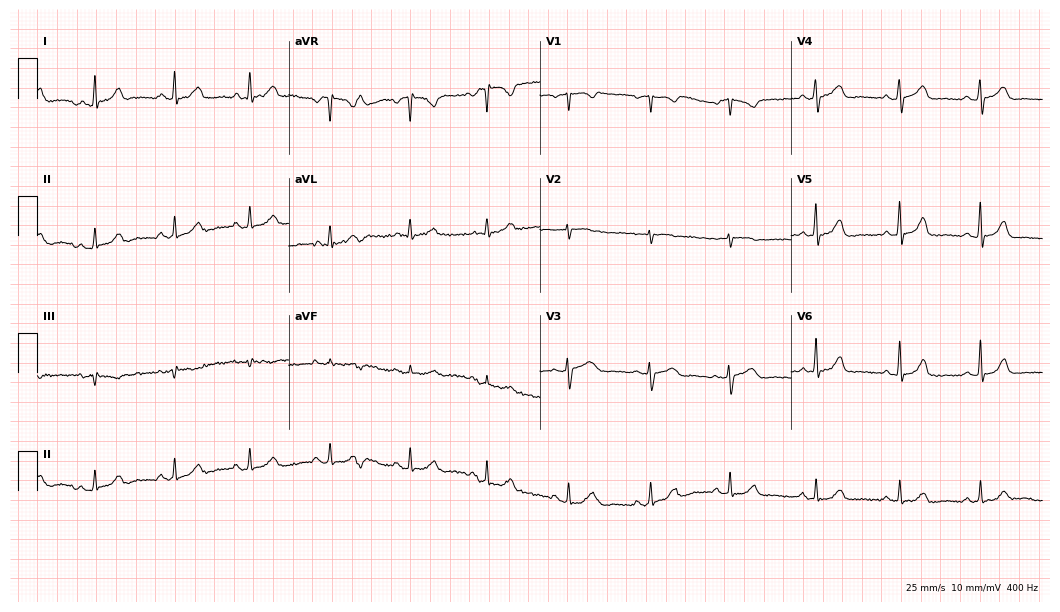
ECG — a 37-year-old female patient. Screened for six findings — first-degree AV block, right bundle branch block, left bundle branch block, sinus bradycardia, atrial fibrillation, sinus tachycardia — none is recorded.